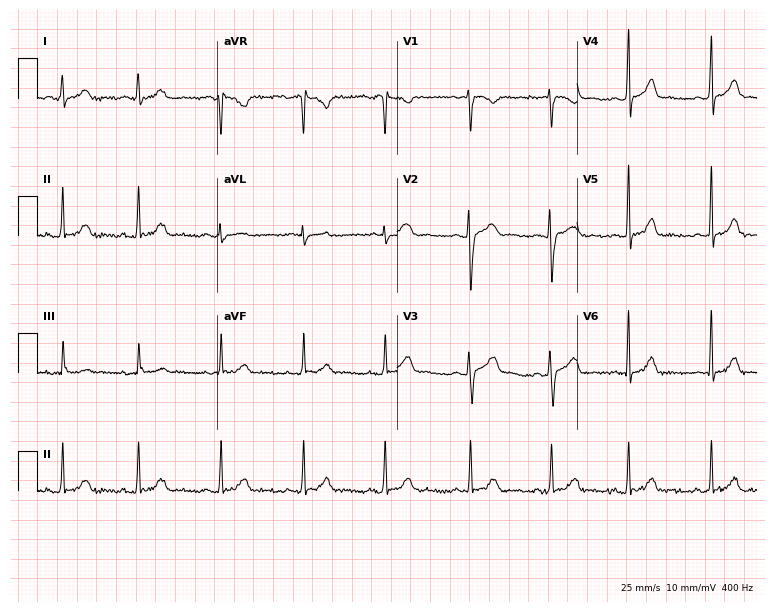
12-lead ECG from a female, 20 years old (7.3-second recording at 400 Hz). No first-degree AV block, right bundle branch block, left bundle branch block, sinus bradycardia, atrial fibrillation or sinus tachycardia recorded for this tracing.